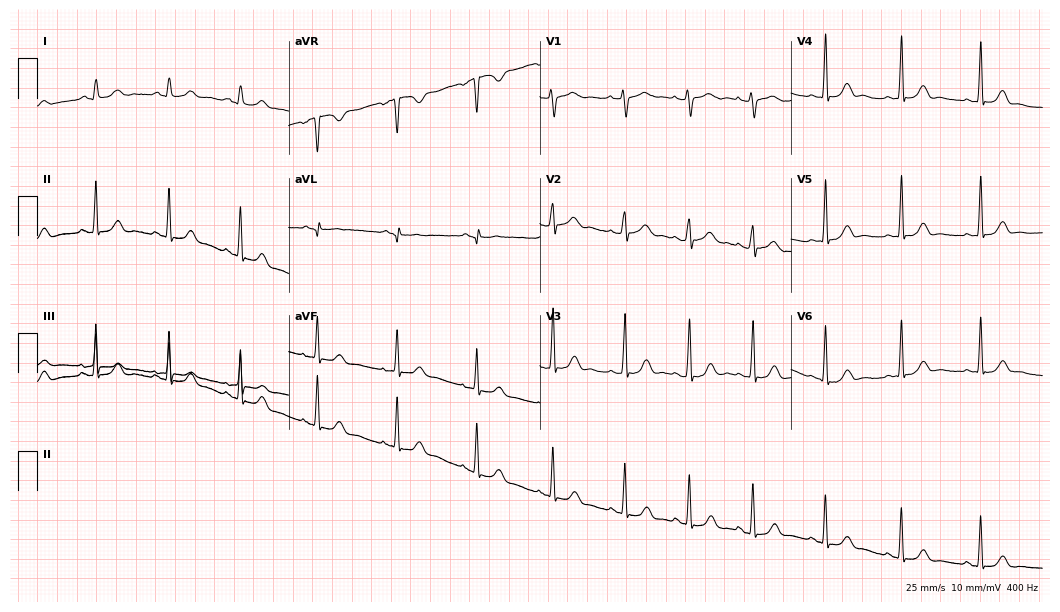
Electrocardiogram (10.2-second recording at 400 Hz), a 23-year-old woman. Overall reading on record: normal ECG.